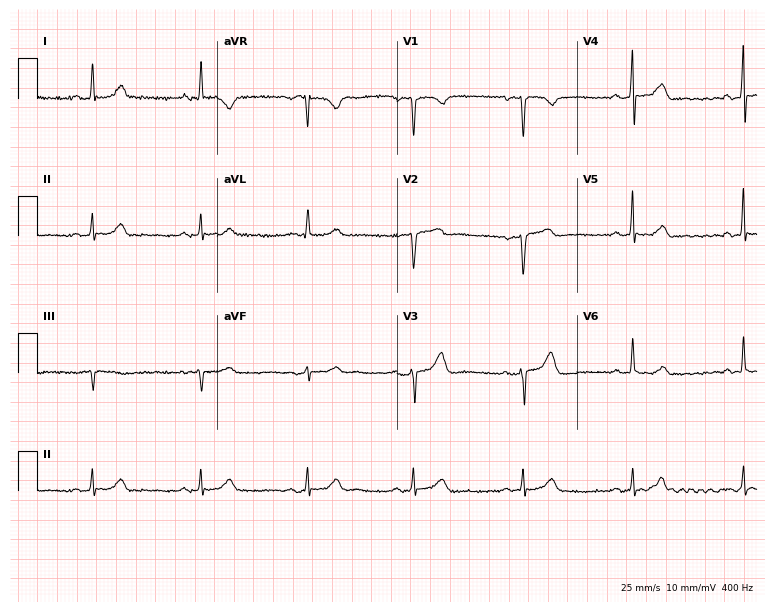
Standard 12-lead ECG recorded from a female, 65 years old (7.3-second recording at 400 Hz). Read as a normal ECG.